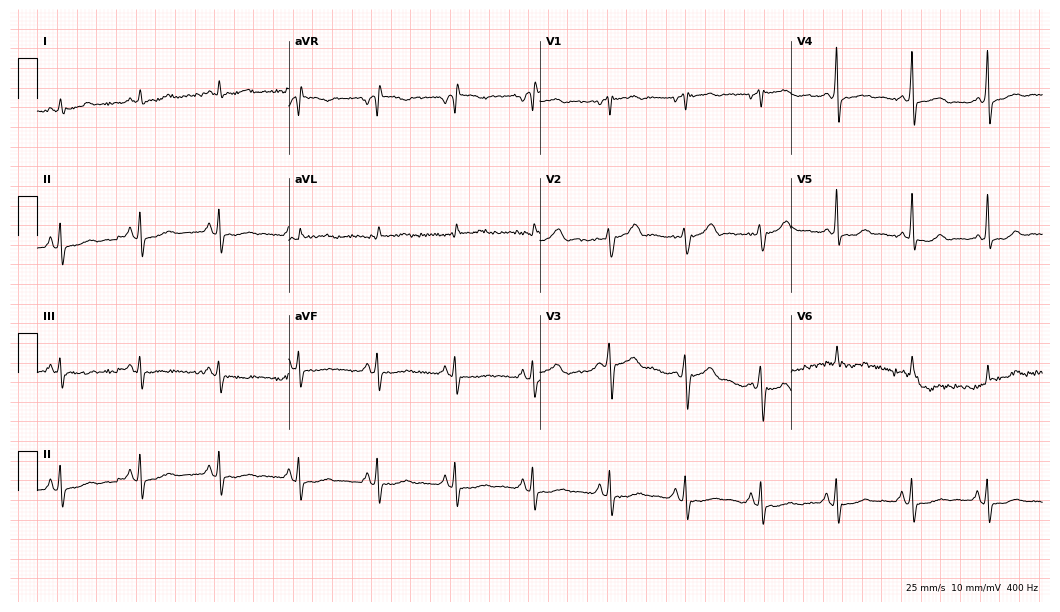
ECG — a 68-year-old male patient. Screened for six findings — first-degree AV block, right bundle branch block (RBBB), left bundle branch block (LBBB), sinus bradycardia, atrial fibrillation (AF), sinus tachycardia — none is recorded.